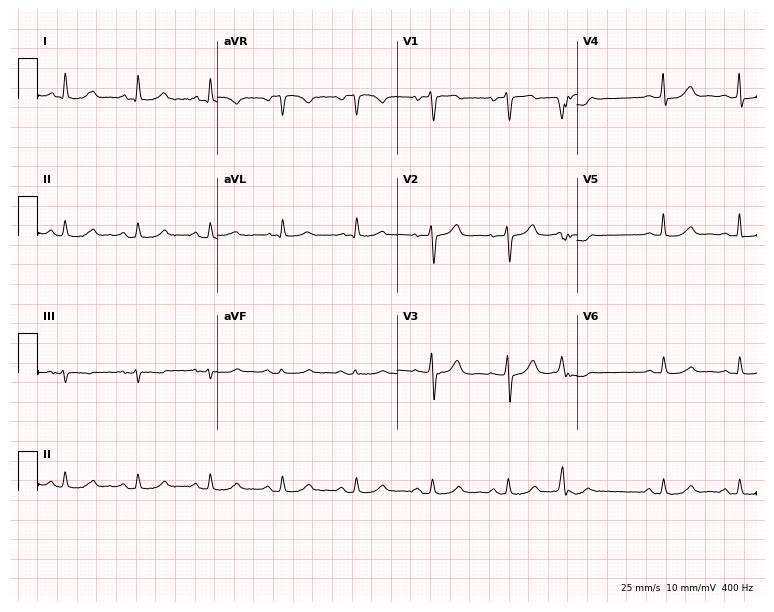
Resting 12-lead electrocardiogram. Patient: a male, 80 years old. None of these six findings is recorded: first-degree AV block, right bundle branch block, left bundle branch block, sinus bradycardia, atrial fibrillation, sinus tachycardia. Only these six findings were labelled.